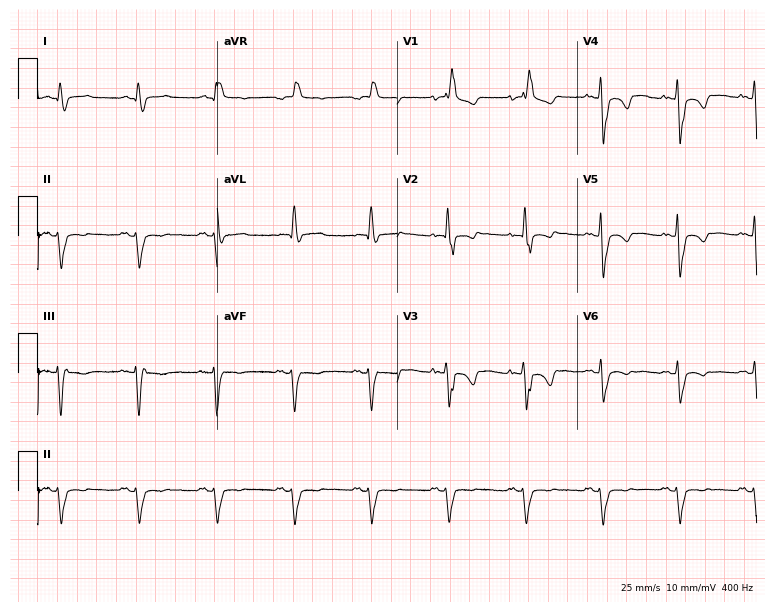
12-lead ECG from a male patient, 68 years old. Screened for six findings — first-degree AV block, right bundle branch block (RBBB), left bundle branch block (LBBB), sinus bradycardia, atrial fibrillation (AF), sinus tachycardia — none is recorded.